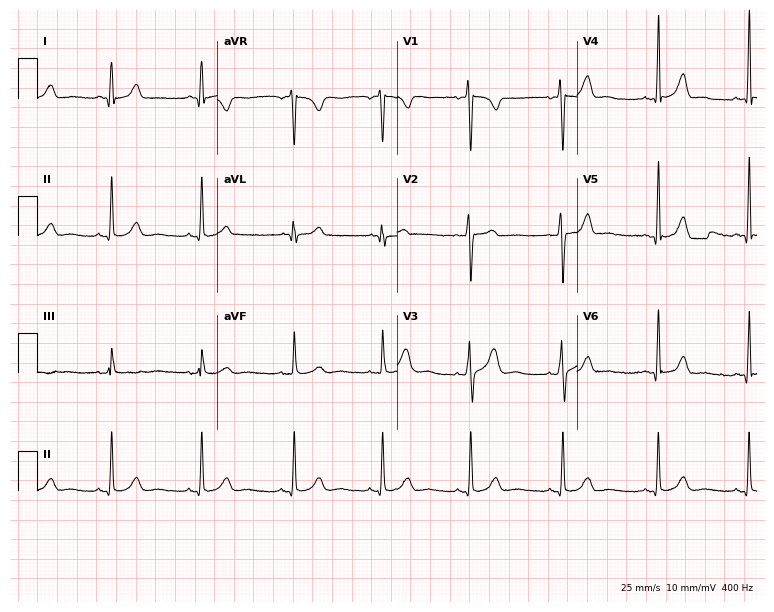
Electrocardiogram, a female, 21 years old. Overall reading on record: normal ECG.